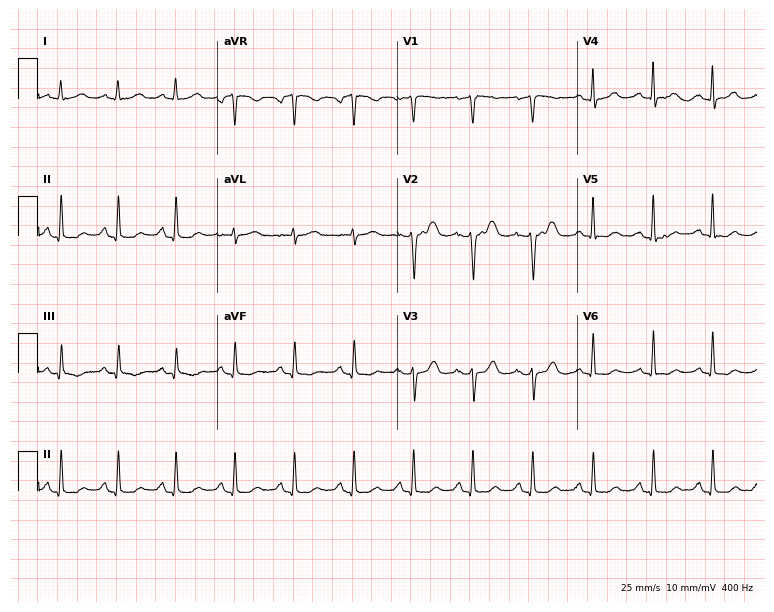
Resting 12-lead electrocardiogram. Patient: a woman, 53 years old. None of these six findings is recorded: first-degree AV block, right bundle branch block, left bundle branch block, sinus bradycardia, atrial fibrillation, sinus tachycardia.